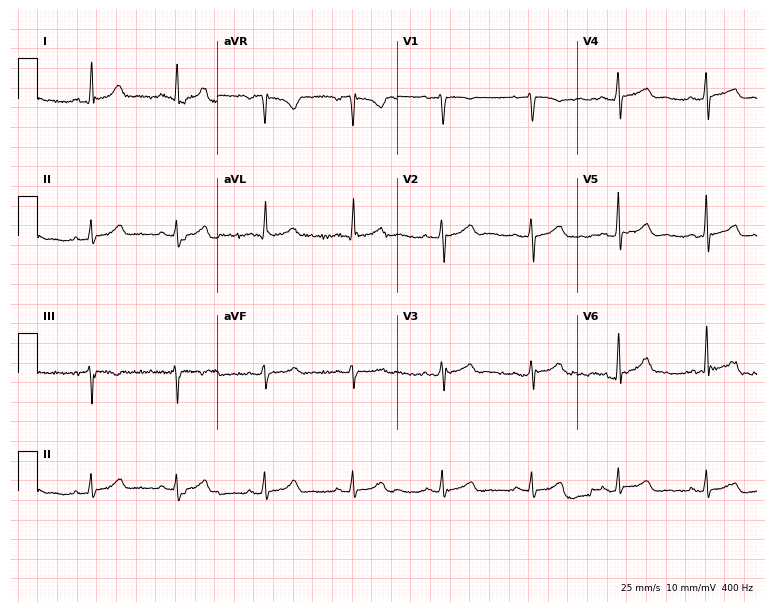
Electrocardiogram, a 50-year-old female patient. Overall reading on record: normal ECG.